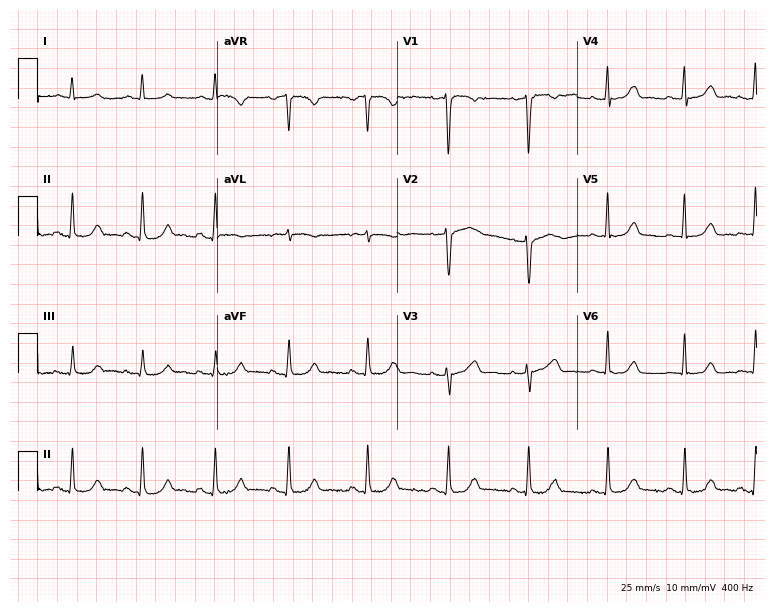
Resting 12-lead electrocardiogram (7.3-second recording at 400 Hz). Patient: a female, 50 years old. Read as a normal ECG.